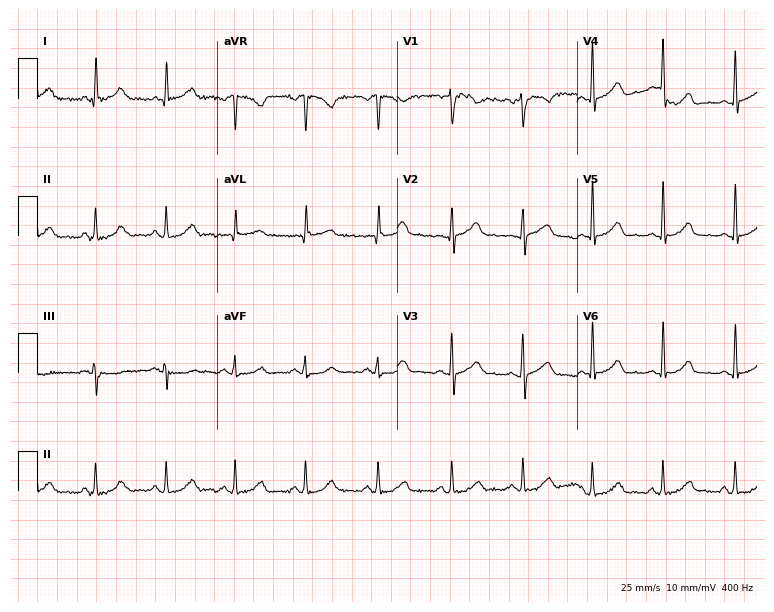
12-lead ECG from a female patient, 46 years old. Labelled as a normal ECG.